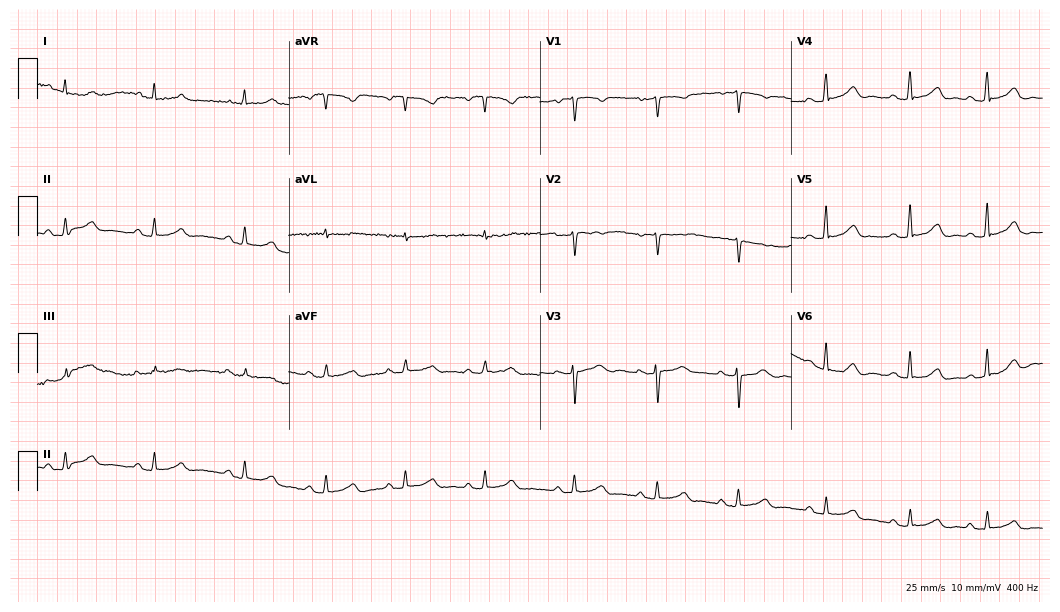
Resting 12-lead electrocardiogram. Patient: a 20-year-old female. Read as a normal ECG.